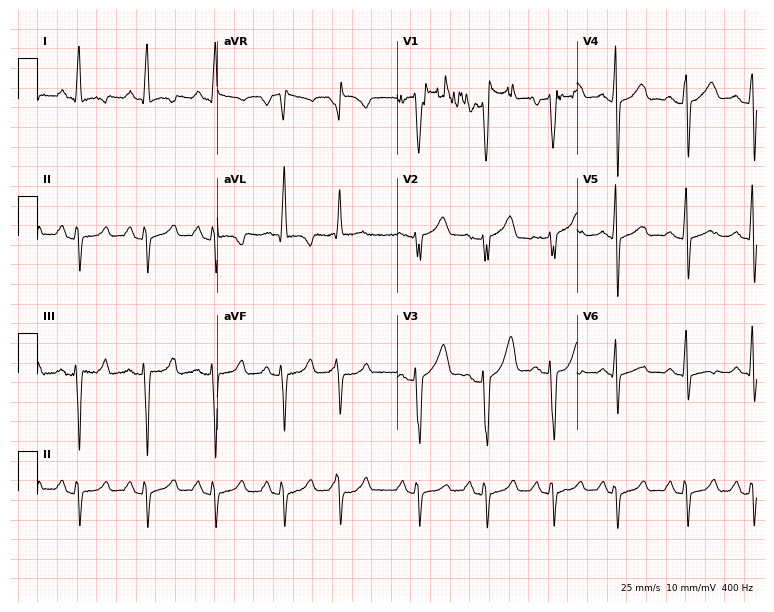
Electrocardiogram, a female patient, 55 years old. Of the six screened findings (first-degree AV block, right bundle branch block, left bundle branch block, sinus bradycardia, atrial fibrillation, sinus tachycardia), none is recorded.